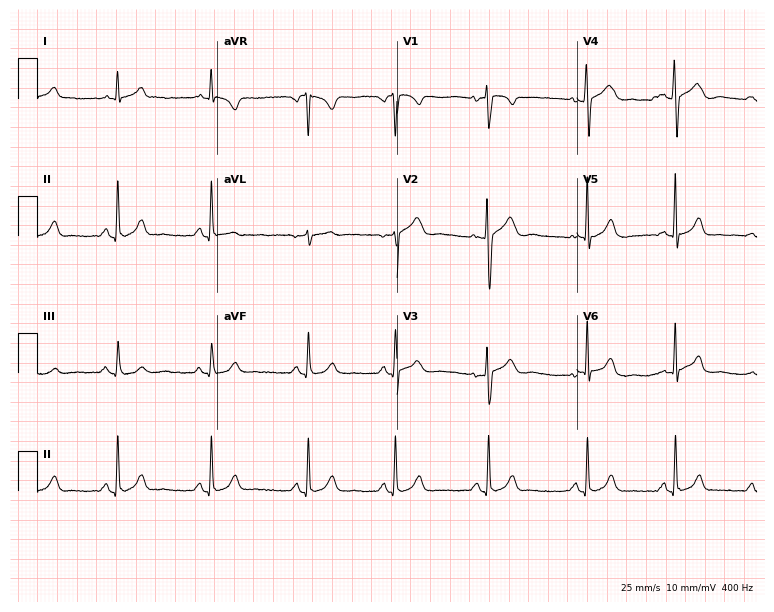
12-lead ECG from a 36-year-old woman (7.3-second recording at 400 Hz). Recorded interpretation: within normal limits.